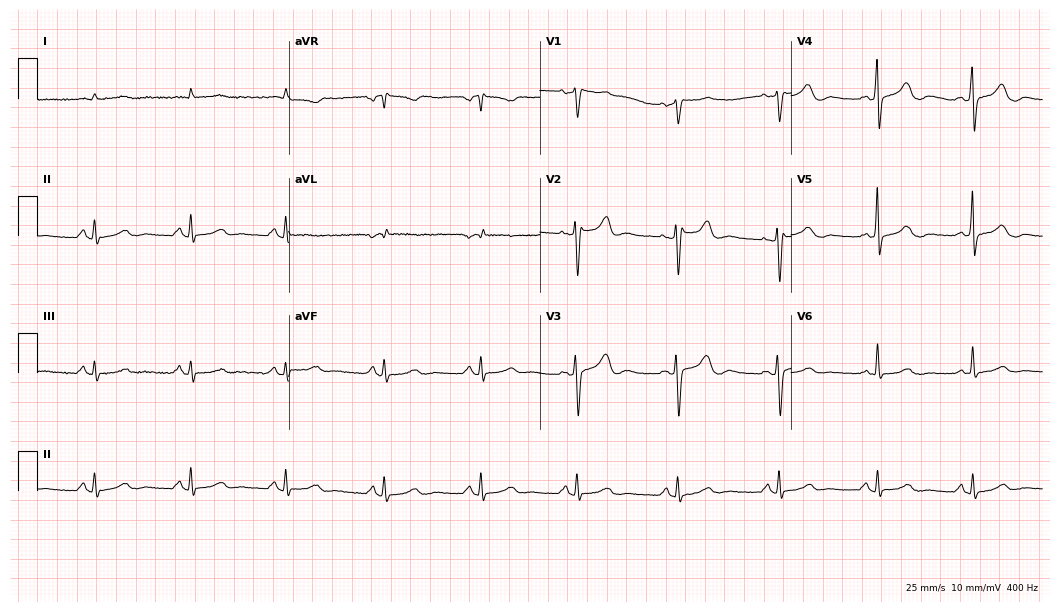
Standard 12-lead ECG recorded from an 85-year-old man (10.2-second recording at 400 Hz). None of these six findings is recorded: first-degree AV block, right bundle branch block (RBBB), left bundle branch block (LBBB), sinus bradycardia, atrial fibrillation (AF), sinus tachycardia.